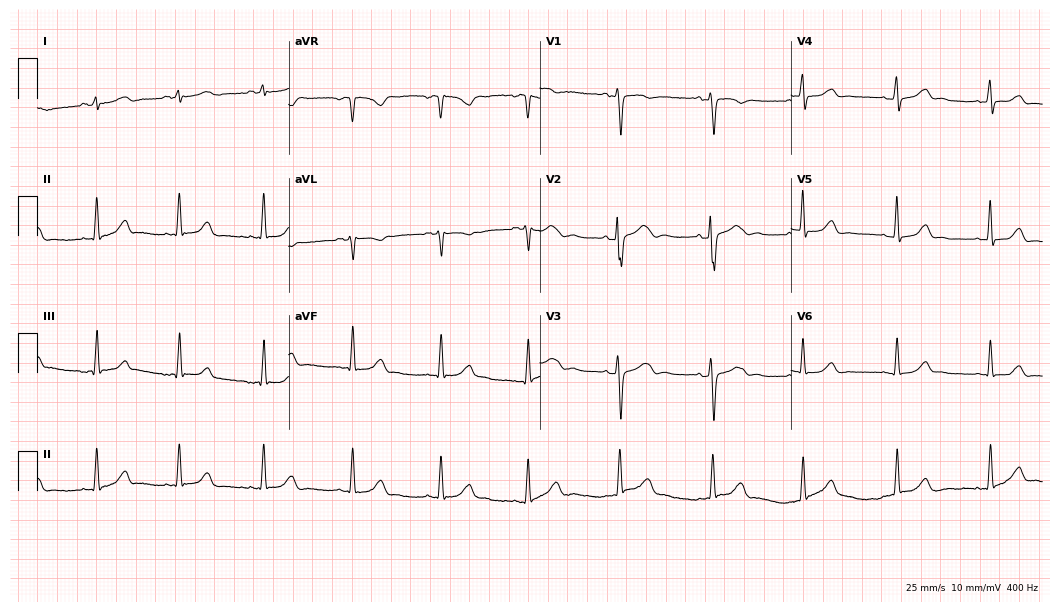
Standard 12-lead ECG recorded from a female, 20 years old (10.2-second recording at 400 Hz). Read as a normal ECG.